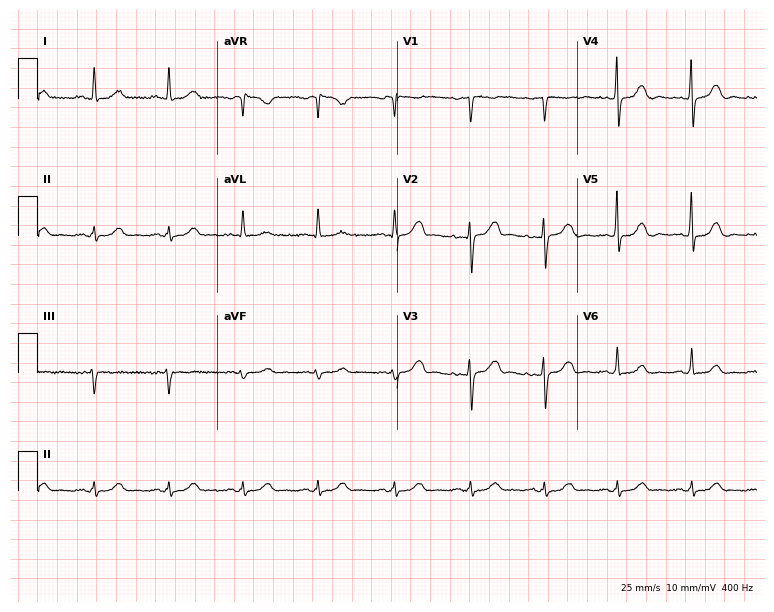
12-lead ECG (7.3-second recording at 400 Hz) from a female patient, 83 years old. Labelled as a normal ECG.